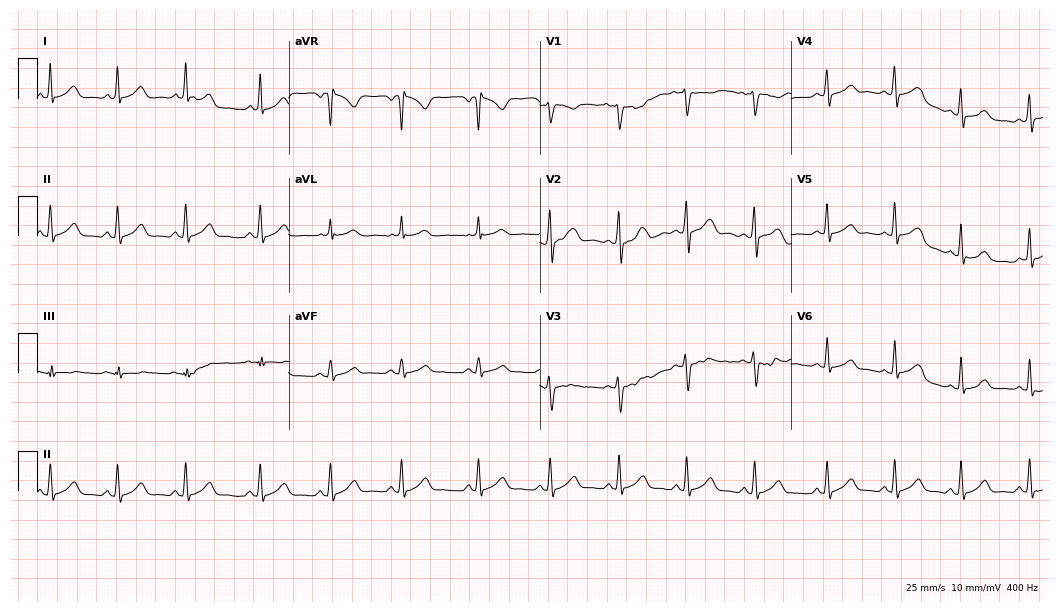
Standard 12-lead ECG recorded from a female patient, 32 years old. Read as a normal ECG.